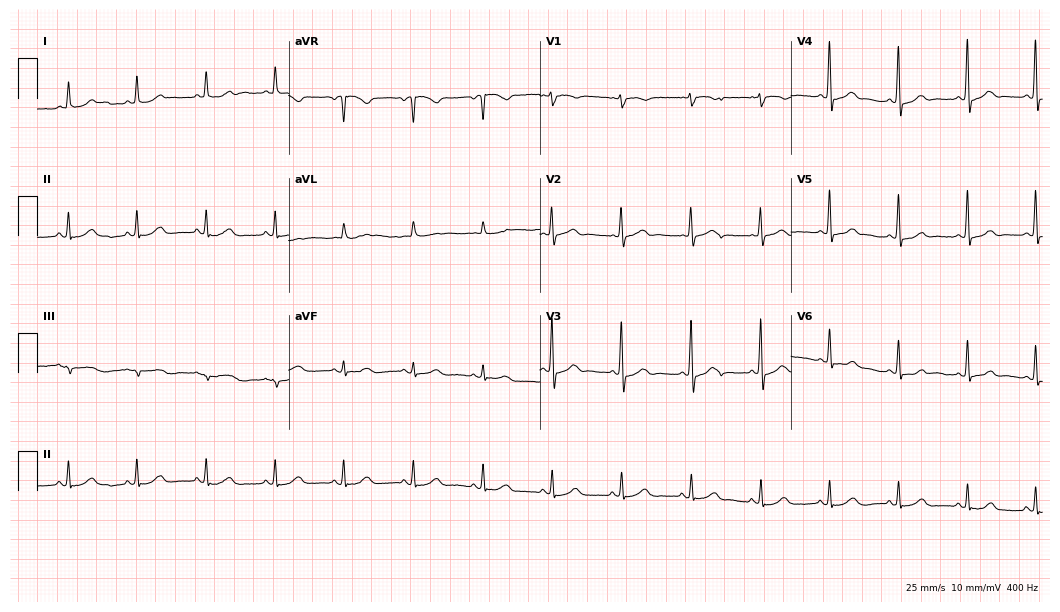
Standard 12-lead ECG recorded from a 67-year-old female (10.2-second recording at 400 Hz). Read as a normal ECG.